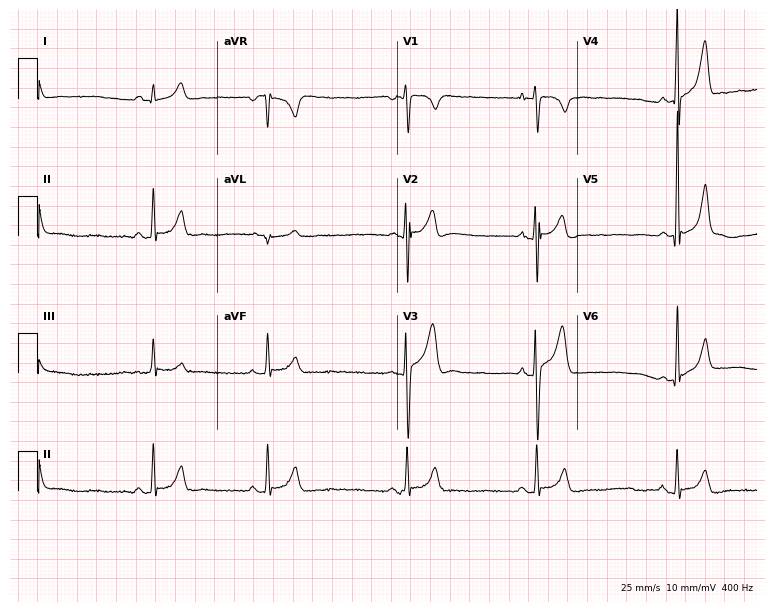
Standard 12-lead ECG recorded from a male patient, 17 years old (7.3-second recording at 400 Hz). None of these six findings is recorded: first-degree AV block, right bundle branch block, left bundle branch block, sinus bradycardia, atrial fibrillation, sinus tachycardia. Findings outside these six are not listed.